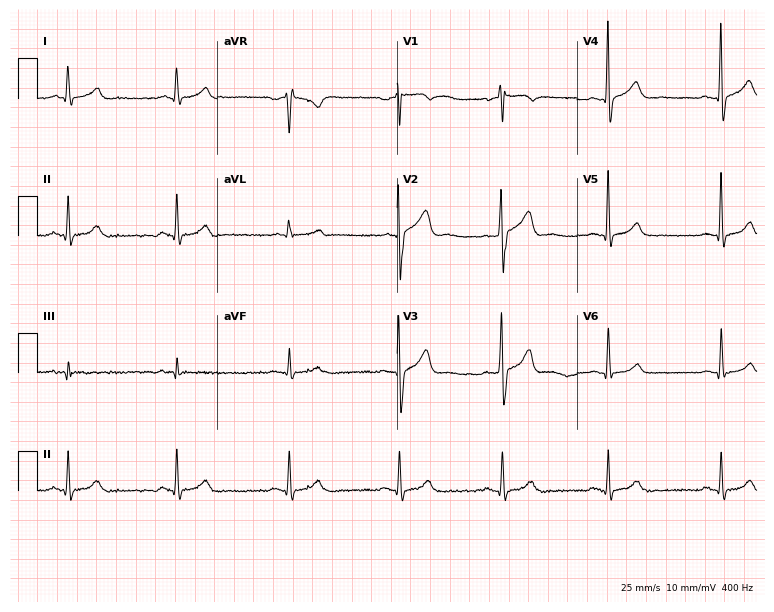
Standard 12-lead ECG recorded from a 32-year-old man. None of these six findings is recorded: first-degree AV block, right bundle branch block (RBBB), left bundle branch block (LBBB), sinus bradycardia, atrial fibrillation (AF), sinus tachycardia.